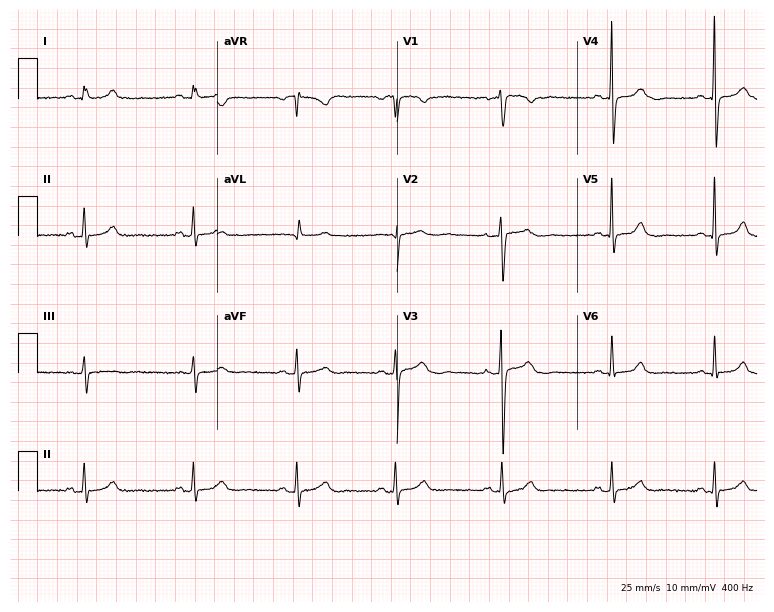
Standard 12-lead ECG recorded from a woman, 29 years old. Read as a normal ECG.